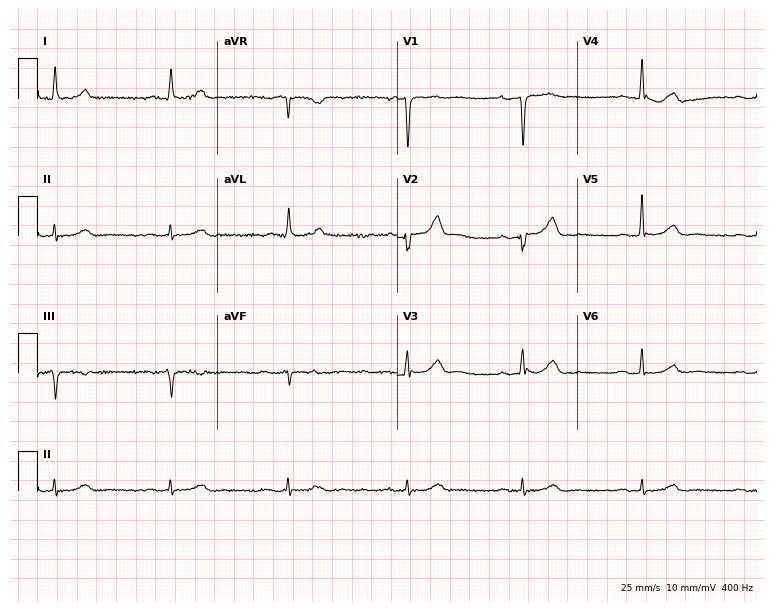
12-lead ECG from a man, 64 years old. Shows first-degree AV block.